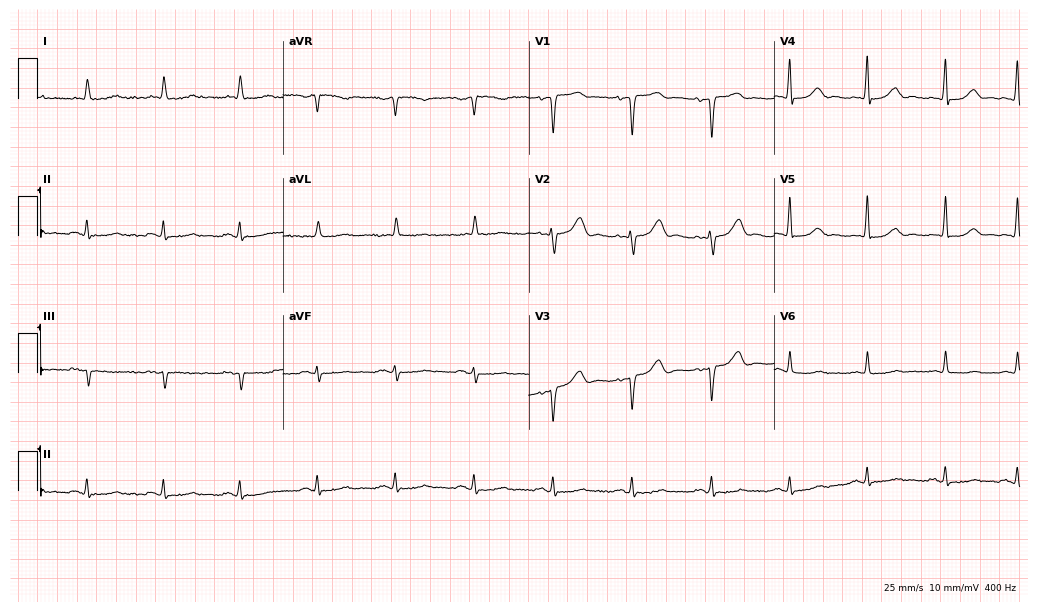
Electrocardiogram, a female, 83 years old. Of the six screened findings (first-degree AV block, right bundle branch block (RBBB), left bundle branch block (LBBB), sinus bradycardia, atrial fibrillation (AF), sinus tachycardia), none is recorded. Only these six findings were labelled.